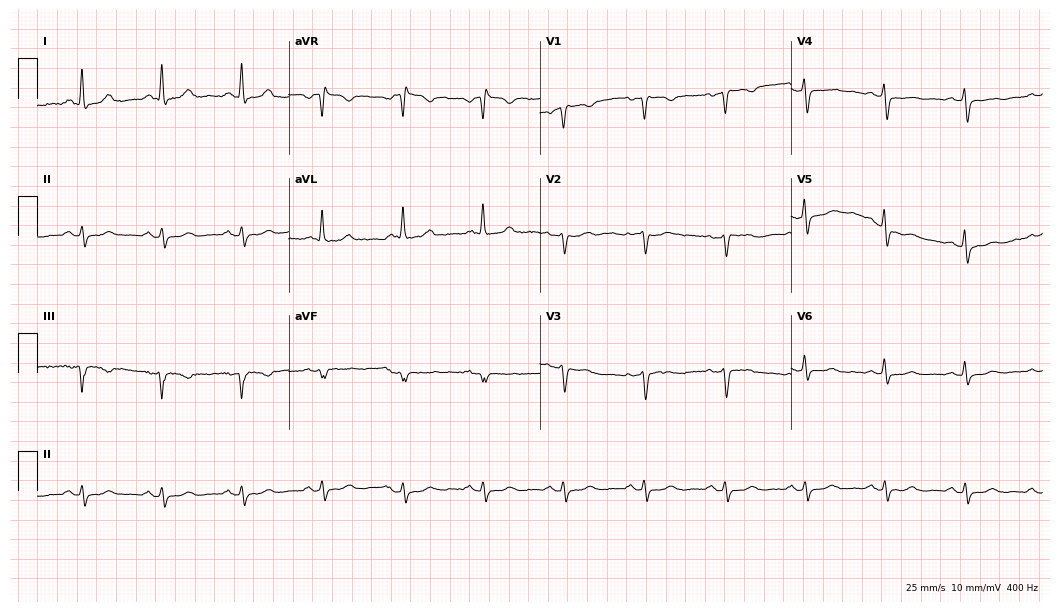
ECG — a 60-year-old woman. Screened for six findings — first-degree AV block, right bundle branch block (RBBB), left bundle branch block (LBBB), sinus bradycardia, atrial fibrillation (AF), sinus tachycardia — none is recorded.